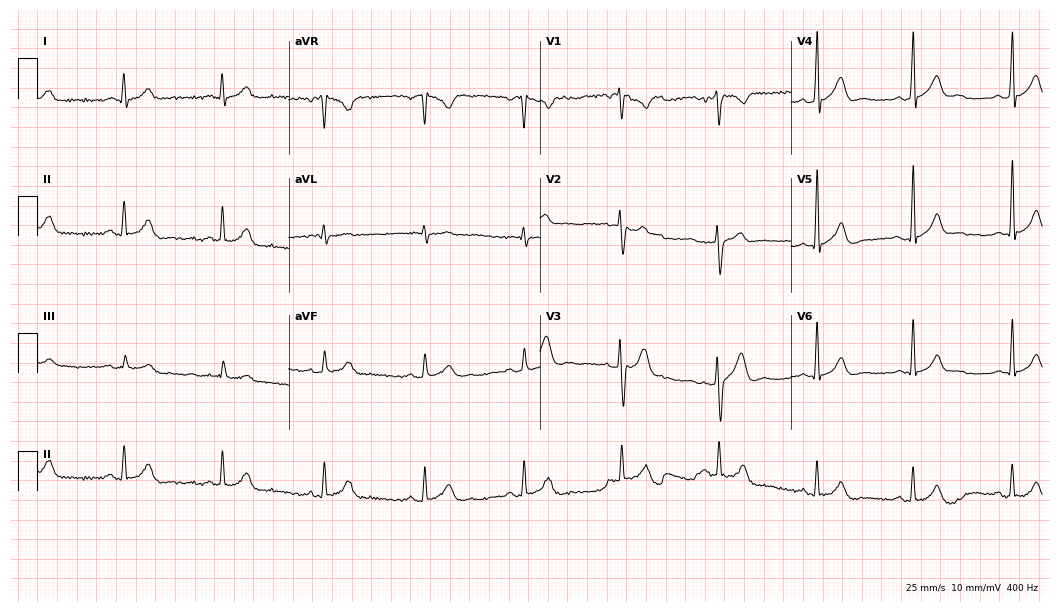
12-lead ECG from a 30-year-old male. No first-degree AV block, right bundle branch block (RBBB), left bundle branch block (LBBB), sinus bradycardia, atrial fibrillation (AF) or sinus tachycardia recorded for this tracing. Findings outside these six are not listed.